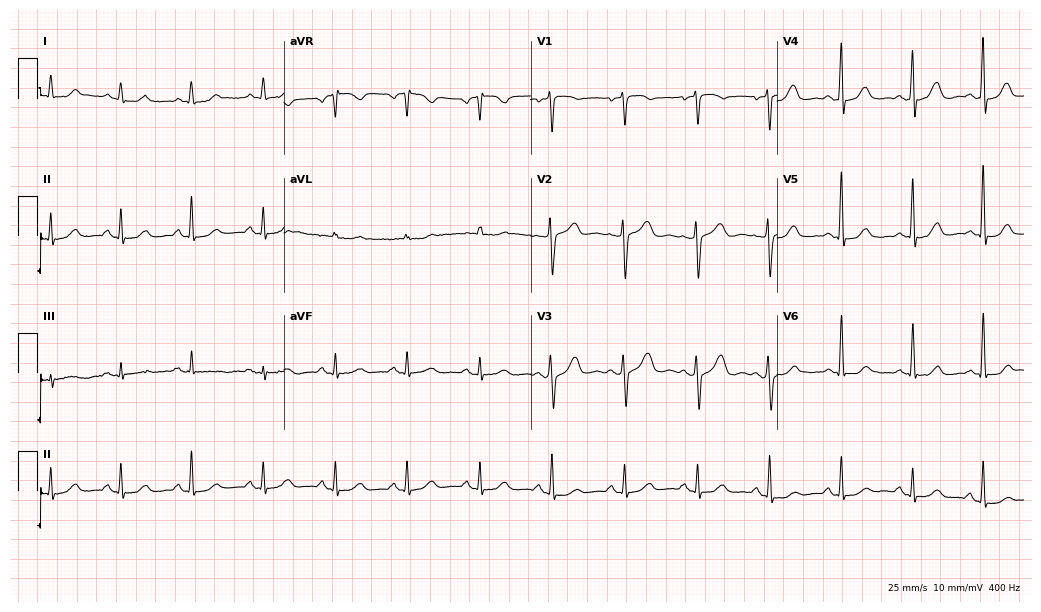
Electrocardiogram (10.1-second recording at 400 Hz), a 44-year-old woman. Overall reading on record: normal ECG.